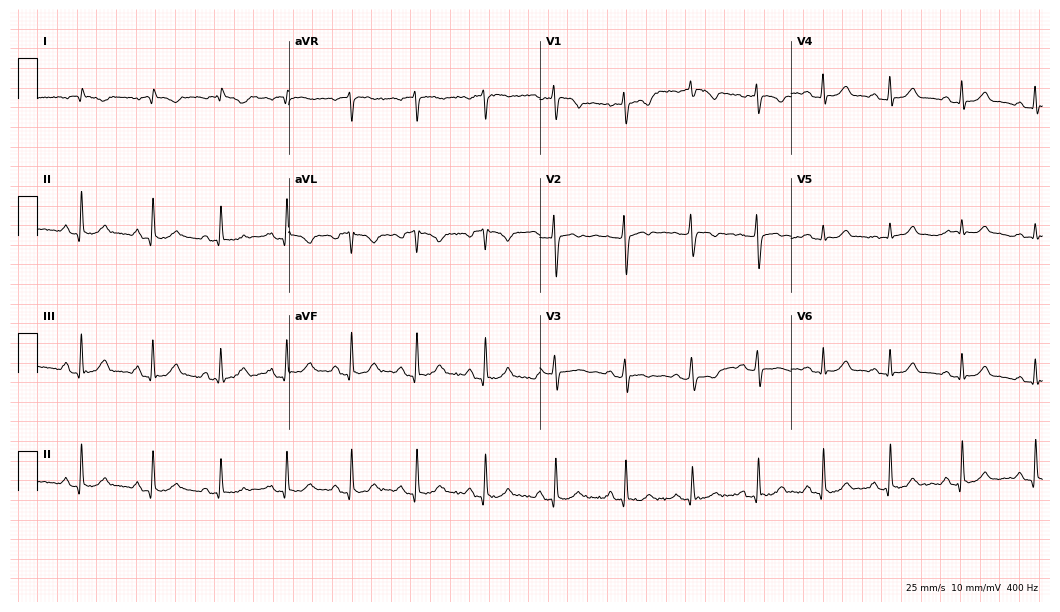
ECG (10.2-second recording at 400 Hz) — a 29-year-old female patient. Labelled as a normal ECG.